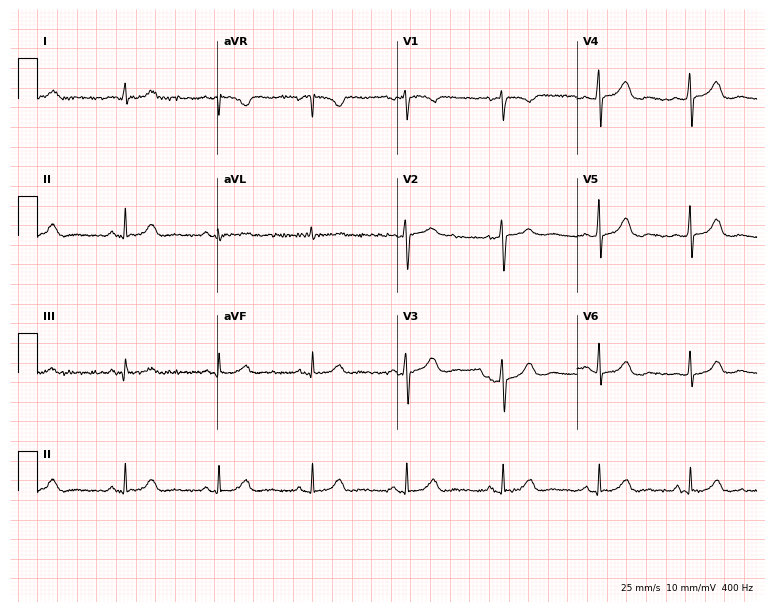
12-lead ECG (7.3-second recording at 400 Hz) from a female, 43 years old. Labelled as a normal ECG.